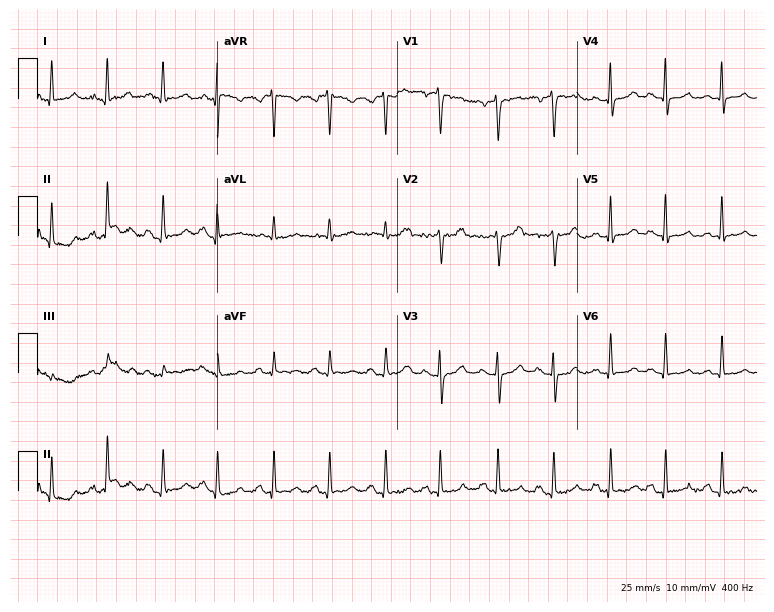
Electrocardiogram, a female, 60 years old. Interpretation includes sinus tachycardia (a sinus rate of 100 beats per minute or more).